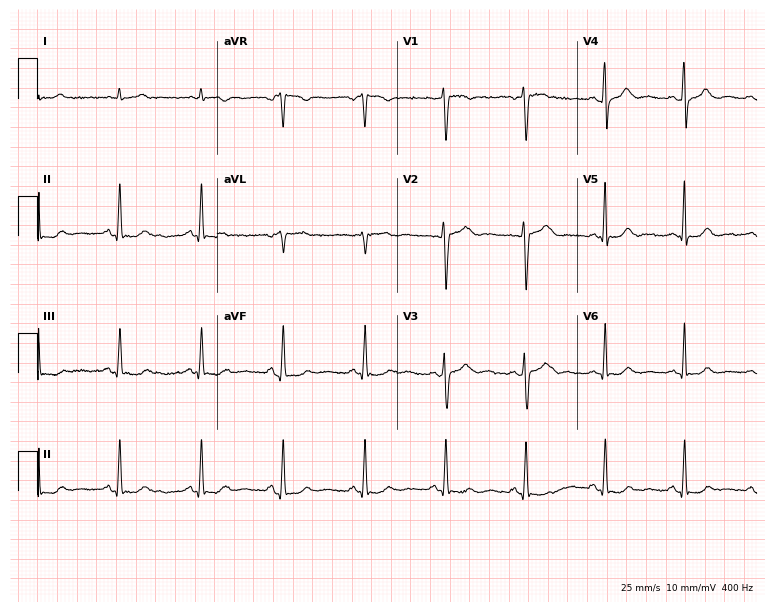
Electrocardiogram (7.3-second recording at 400 Hz), a male, 36 years old. Overall reading on record: normal ECG.